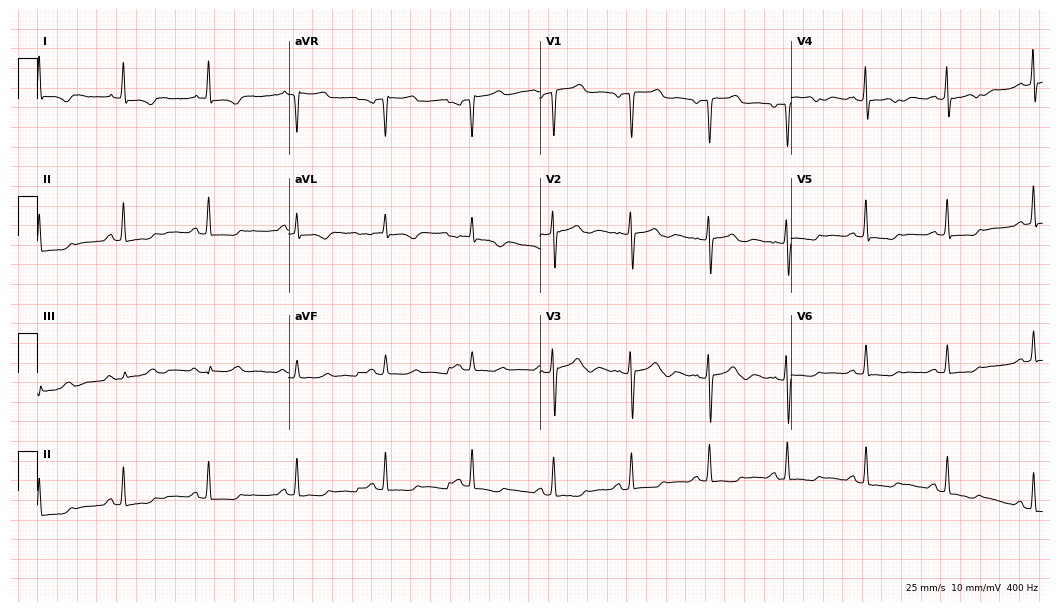
Electrocardiogram (10.2-second recording at 400 Hz), a male, 65 years old. Of the six screened findings (first-degree AV block, right bundle branch block (RBBB), left bundle branch block (LBBB), sinus bradycardia, atrial fibrillation (AF), sinus tachycardia), none is recorded.